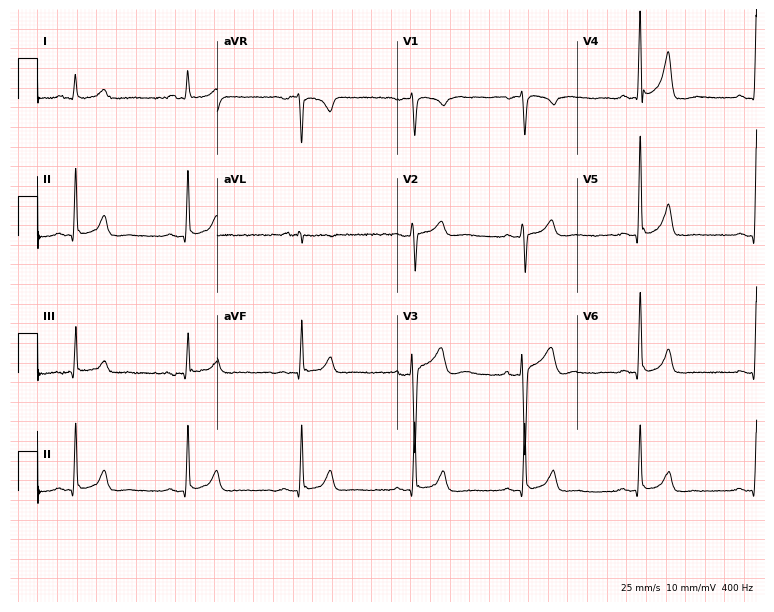
Resting 12-lead electrocardiogram (7.3-second recording at 400 Hz). Patient: a male, 54 years old. None of these six findings is recorded: first-degree AV block, right bundle branch block, left bundle branch block, sinus bradycardia, atrial fibrillation, sinus tachycardia. Findings outside these six are not listed.